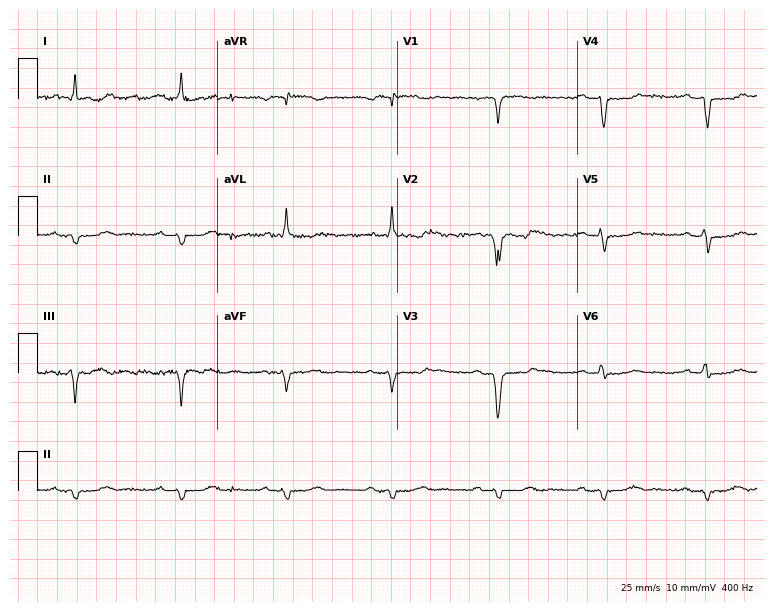
ECG — a 77-year-old male patient. Screened for six findings — first-degree AV block, right bundle branch block, left bundle branch block, sinus bradycardia, atrial fibrillation, sinus tachycardia — none is recorded. Findings outside these six are not listed.